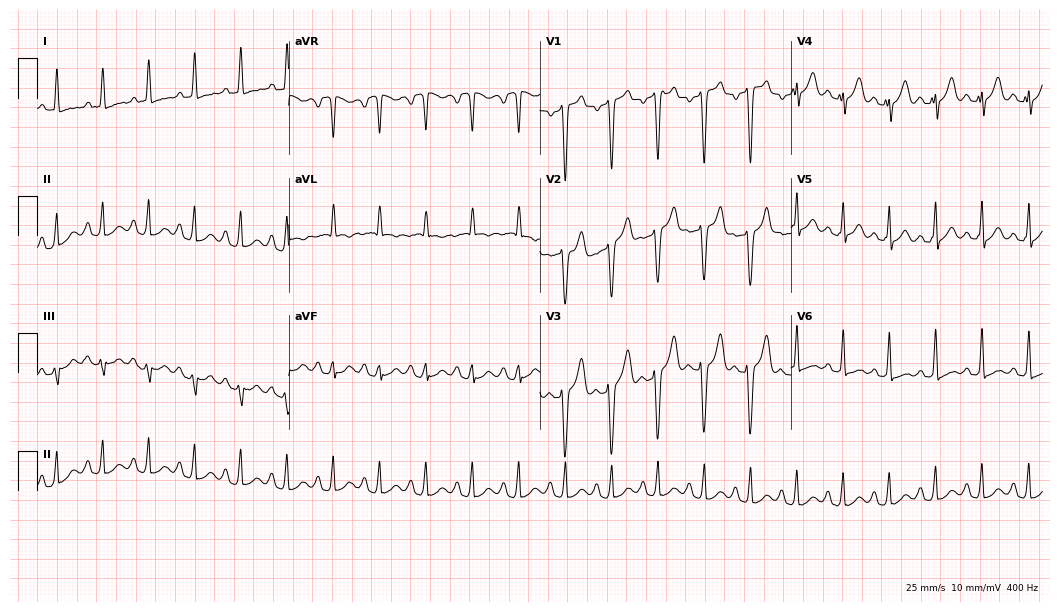
12-lead ECG (10.2-second recording at 400 Hz) from a female, 49 years old. Findings include sinus tachycardia (a sinus rate of 100 beats per minute or more).